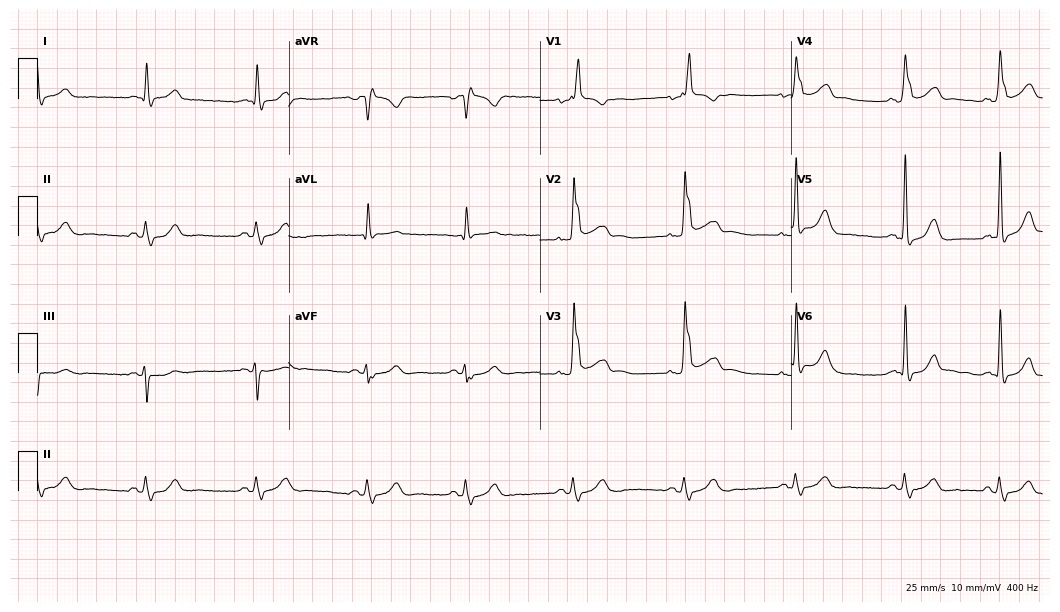
Standard 12-lead ECG recorded from a 70-year-old man. The tracing shows right bundle branch block (RBBB).